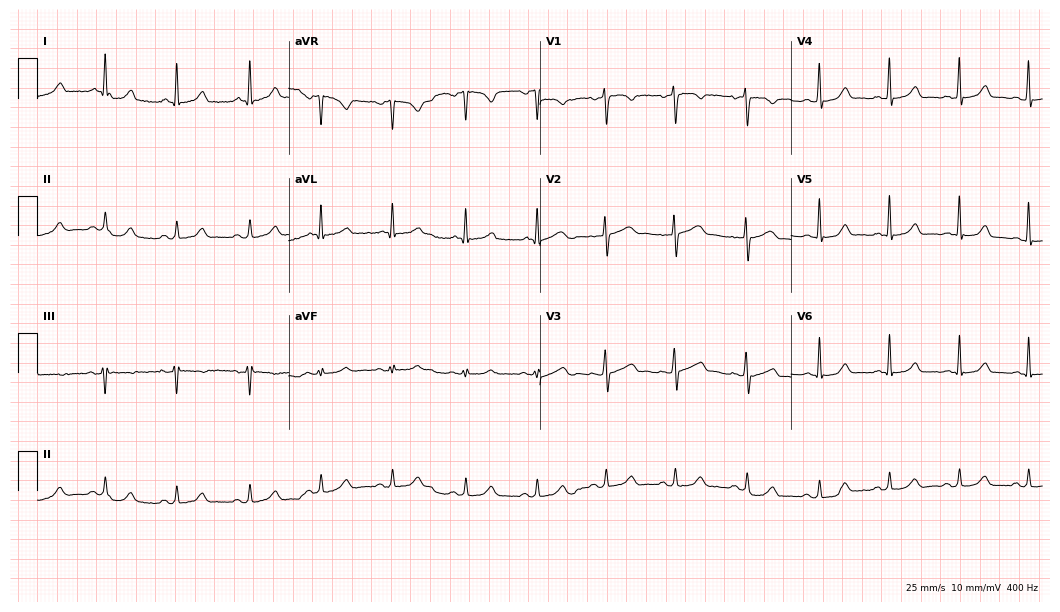
Electrocardiogram, a female, 32 years old. Overall reading on record: normal ECG.